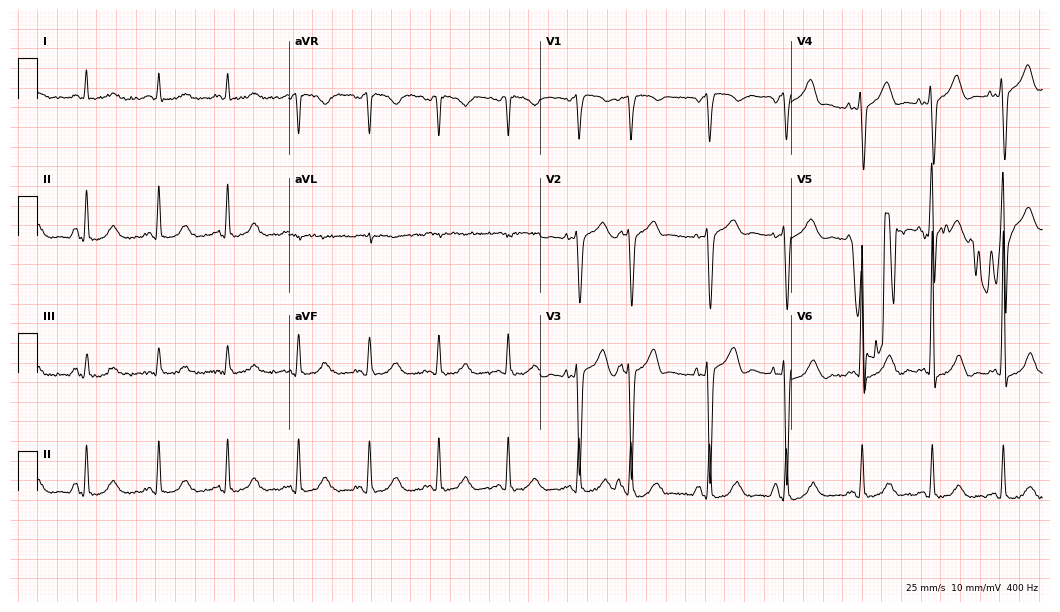
Standard 12-lead ECG recorded from an 84-year-old man. None of these six findings is recorded: first-degree AV block, right bundle branch block, left bundle branch block, sinus bradycardia, atrial fibrillation, sinus tachycardia. Only these six findings were labelled.